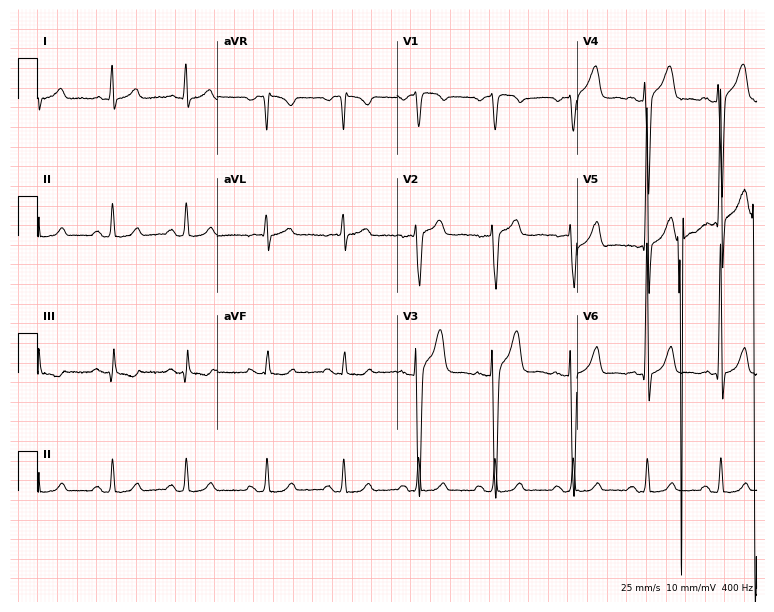
12-lead ECG (7.3-second recording at 400 Hz) from a male patient, 30 years old. Labelled as a normal ECG.